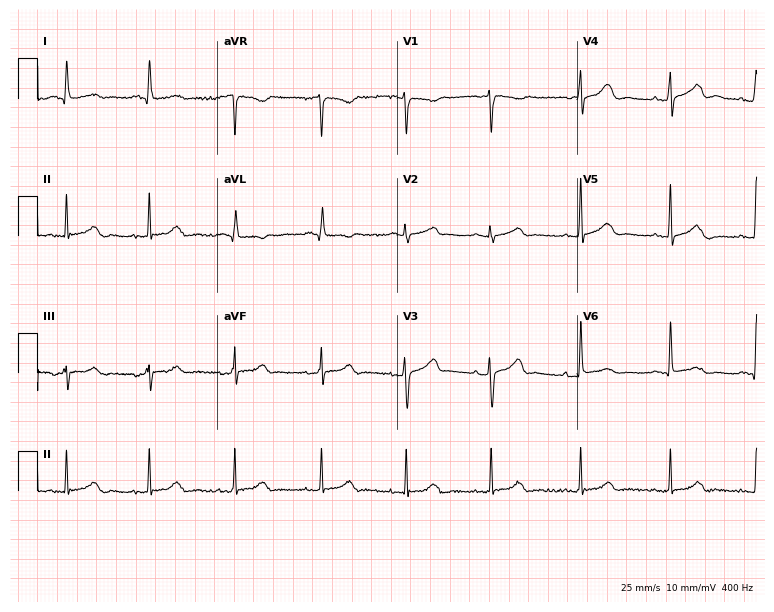
12-lead ECG from a 74-year-old female patient. Labelled as a normal ECG.